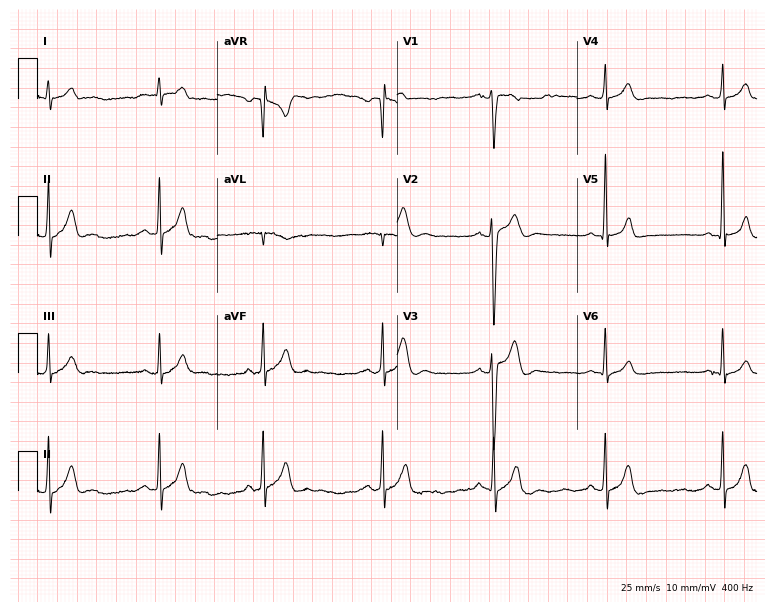
Standard 12-lead ECG recorded from a 22-year-old man (7.3-second recording at 400 Hz). Read as a normal ECG.